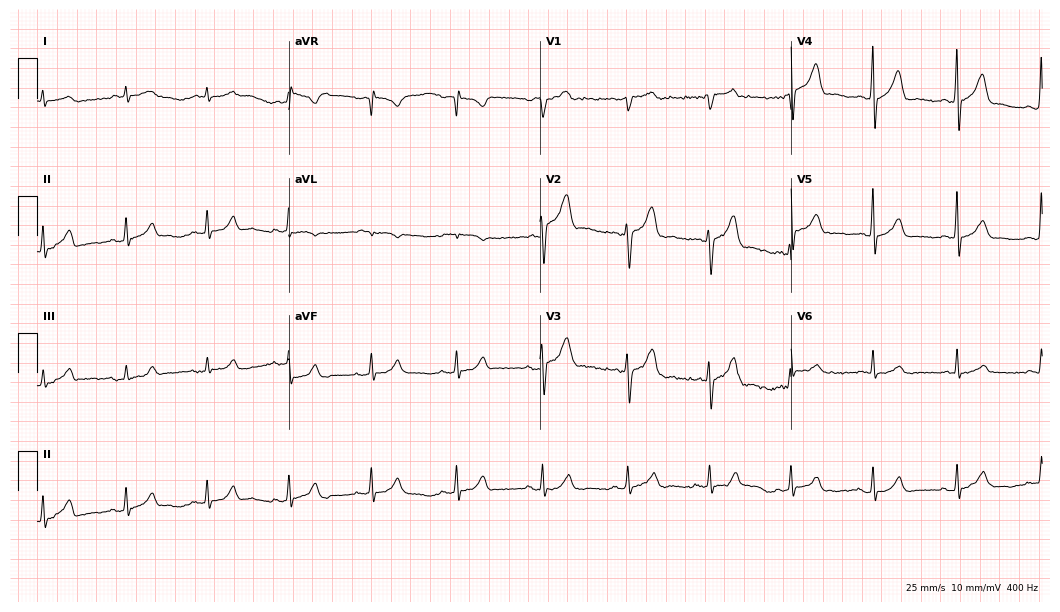
12-lead ECG from a 64-year-old male patient. Recorded interpretation: within normal limits.